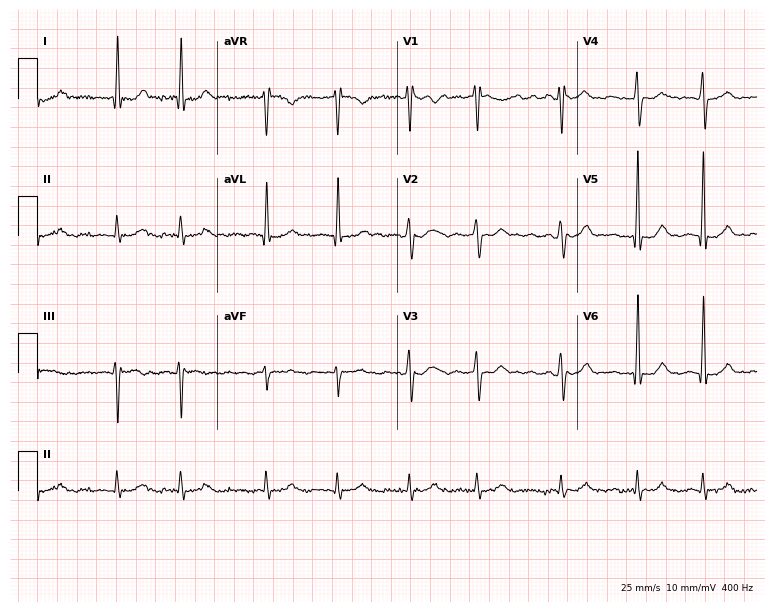
12-lead ECG from a male patient, 32 years old. Findings include atrial fibrillation (AF).